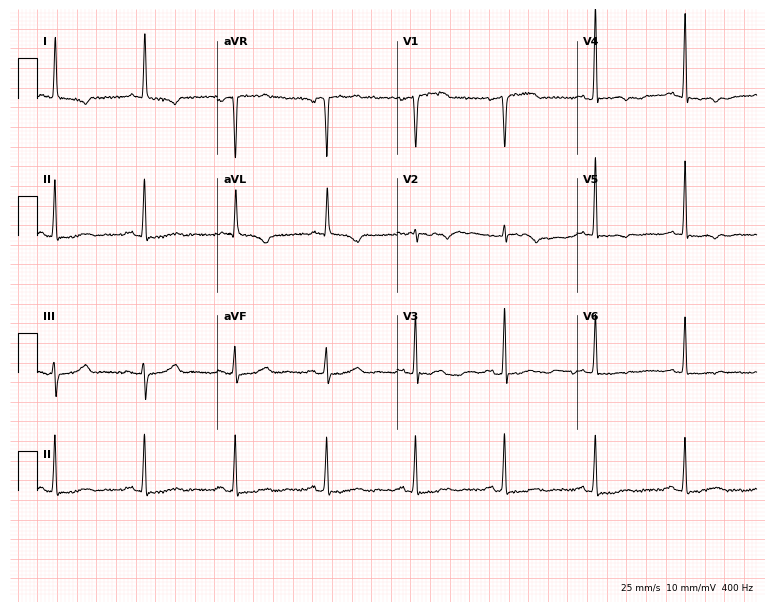
Resting 12-lead electrocardiogram (7.3-second recording at 400 Hz). Patient: an 83-year-old woman. None of these six findings is recorded: first-degree AV block, right bundle branch block (RBBB), left bundle branch block (LBBB), sinus bradycardia, atrial fibrillation (AF), sinus tachycardia.